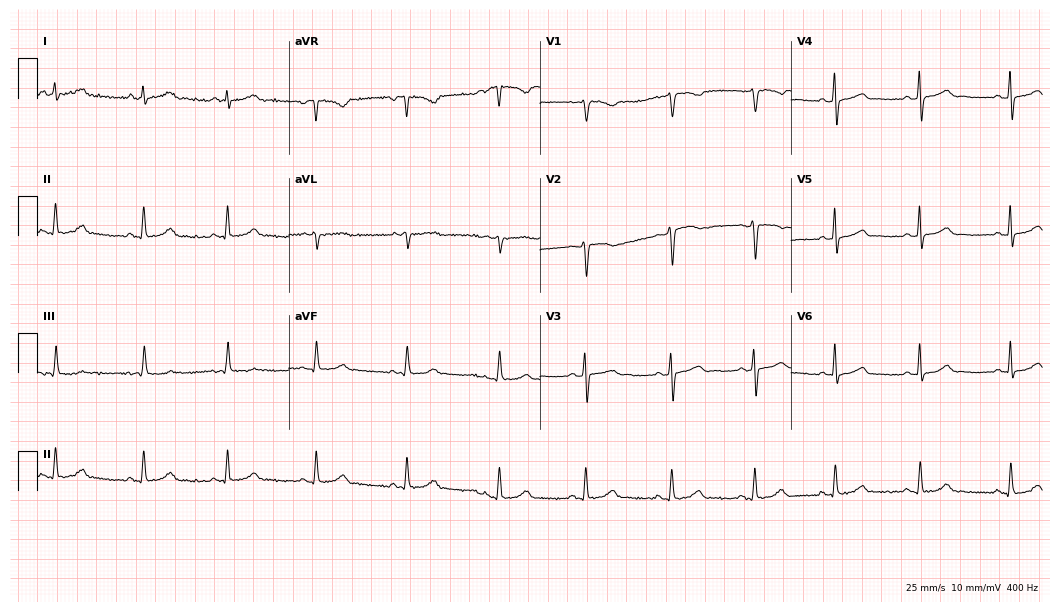
Standard 12-lead ECG recorded from a 44-year-old female patient. Read as a normal ECG.